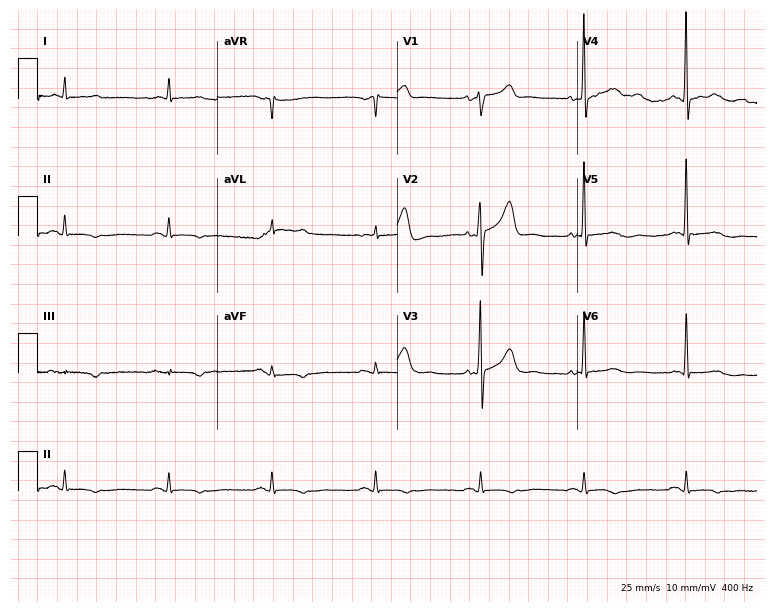
ECG — a 79-year-old man. Screened for six findings — first-degree AV block, right bundle branch block (RBBB), left bundle branch block (LBBB), sinus bradycardia, atrial fibrillation (AF), sinus tachycardia — none is recorded.